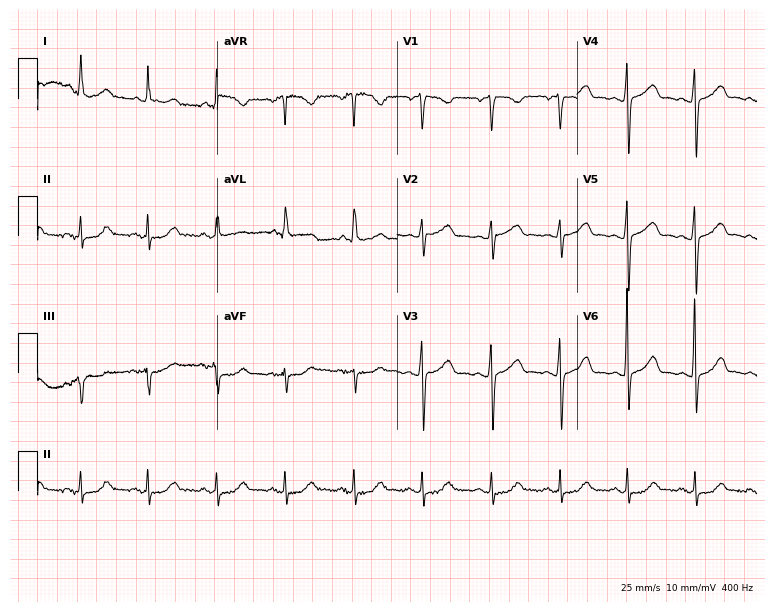
Standard 12-lead ECG recorded from a 63-year-old female (7.3-second recording at 400 Hz). None of these six findings is recorded: first-degree AV block, right bundle branch block, left bundle branch block, sinus bradycardia, atrial fibrillation, sinus tachycardia.